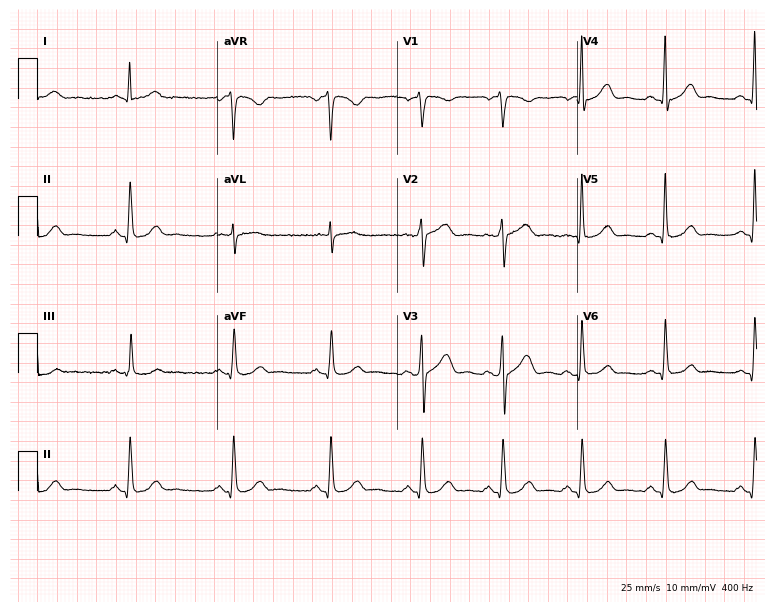
Standard 12-lead ECG recorded from a 54-year-old male patient. Read as a normal ECG.